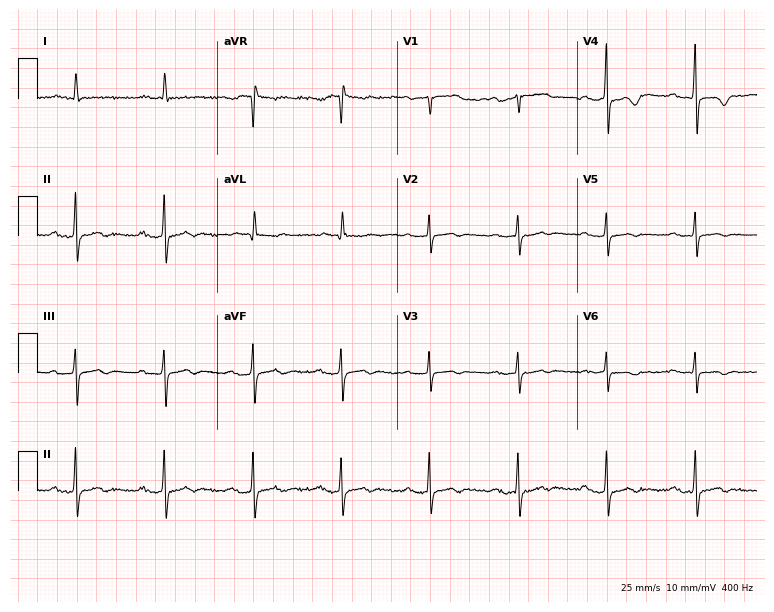
12-lead ECG from a male patient, 87 years old. Shows first-degree AV block.